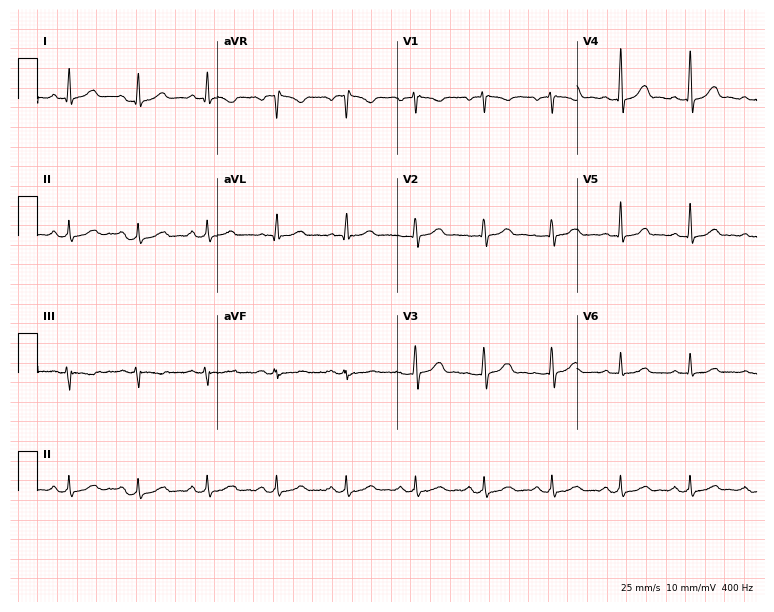
ECG (7.3-second recording at 400 Hz) — a female patient, 42 years old. Screened for six findings — first-degree AV block, right bundle branch block, left bundle branch block, sinus bradycardia, atrial fibrillation, sinus tachycardia — none is recorded. Other findings, if any, are not listed.